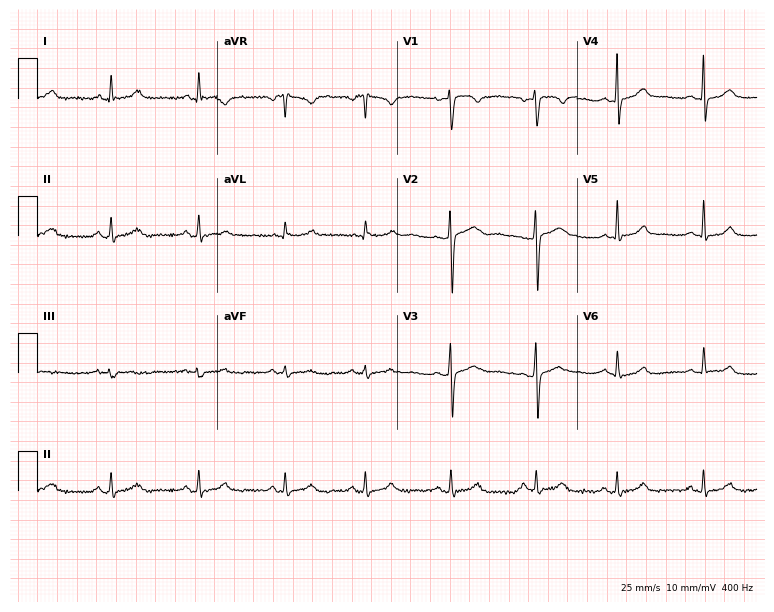
Electrocardiogram (7.3-second recording at 400 Hz), a 26-year-old woman. Of the six screened findings (first-degree AV block, right bundle branch block (RBBB), left bundle branch block (LBBB), sinus bradycardia, atrial fibrillation (AF), sinus tachycardia), none is recorded.